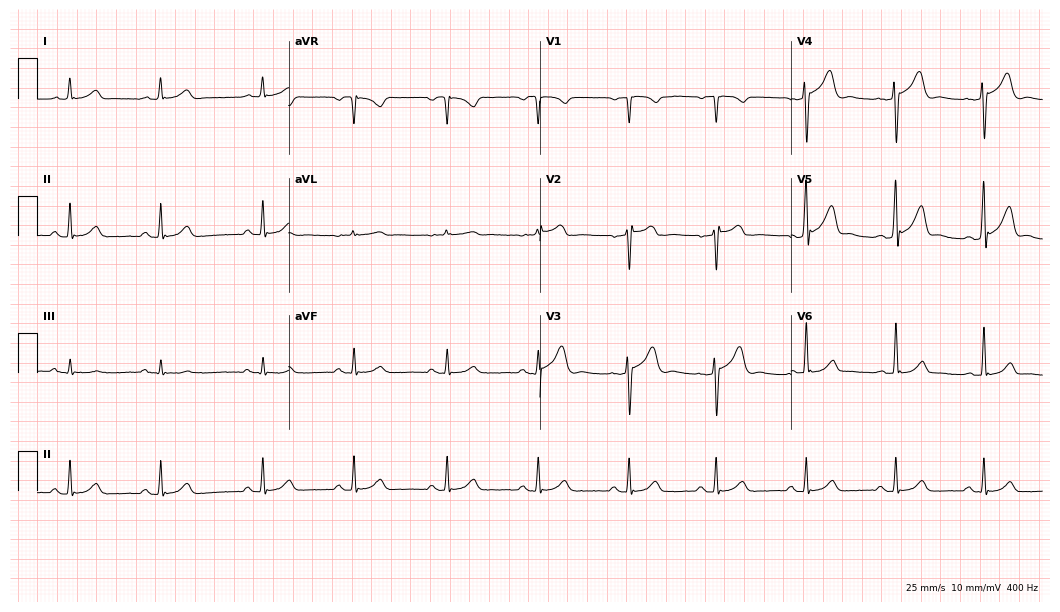
Standard 12-lead ECG recorded from a male, 44 years old. None of these six findings is recorded: first-degree AV block, right bundle branch block (RBBB), left bundle branch block (LBBB), sinus bradycardia, atrial fibrillation (AF), sinus tachycardia. Only these six findings were labelled.